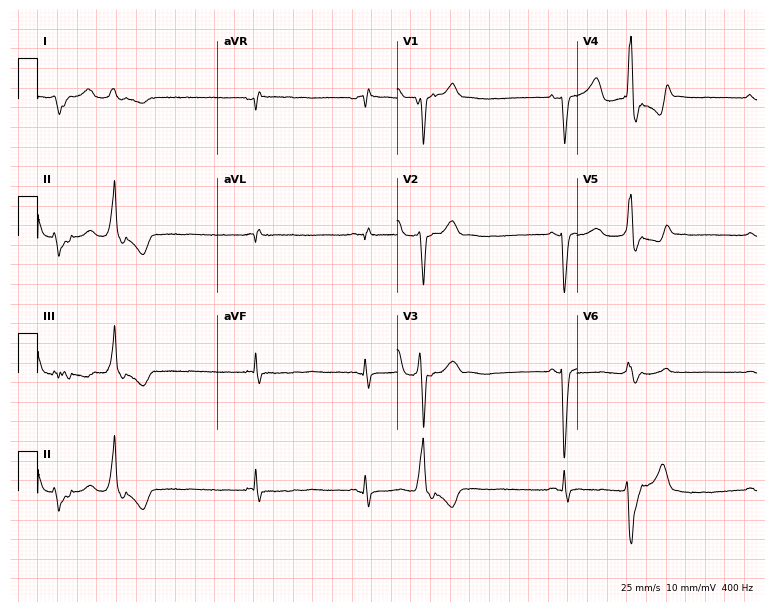
Resting 12-lead electrocardiogram (7.3-second recording at 400 Hz). Patient: an 85-year-old male. None of these six findings is recorded: first-degree AV block, right bundle branch block, left bundle branch block, sinus bradycardia, atrial fibrillation, sinus tachycardia.